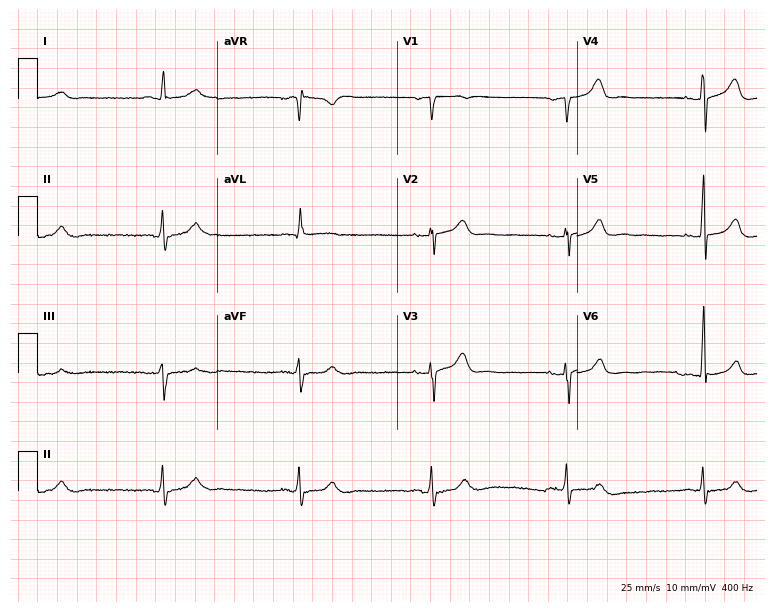
12-lead ECG from a male, 65 years old (7.3-second recording at 400 Hz). Shows sinus bradycardia (a sinus rate of 50 beats per minute or less).